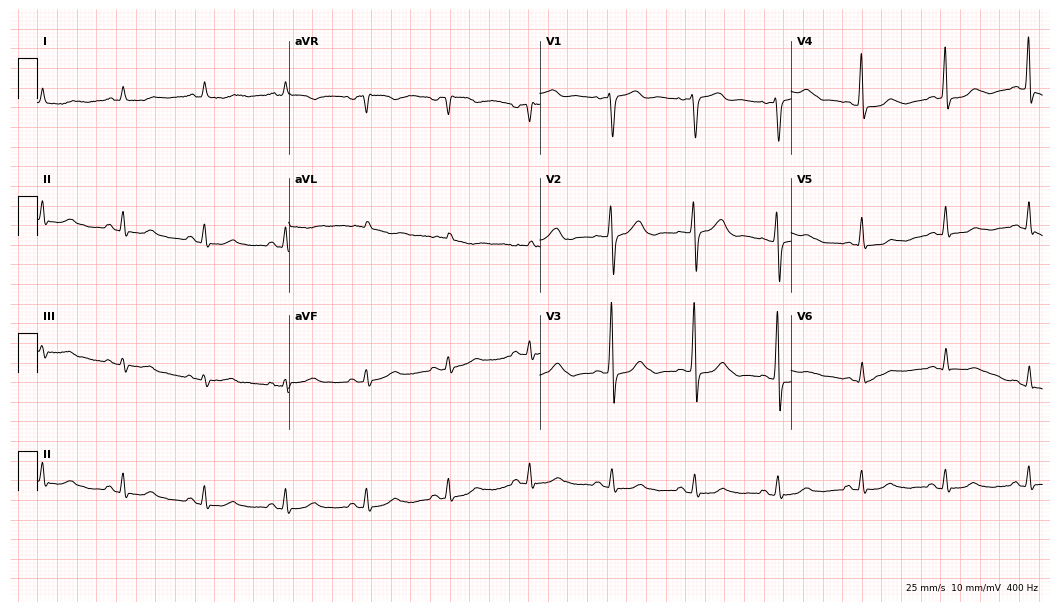
ECG — a 63-year-old male. Screened for six findings — first-degree AV block, right bundle branch block, left bundle branch block, sinus bradycardia, atrial fibrillation, sinus tachycardia — none is recorded. Findings outside these six are not listed.